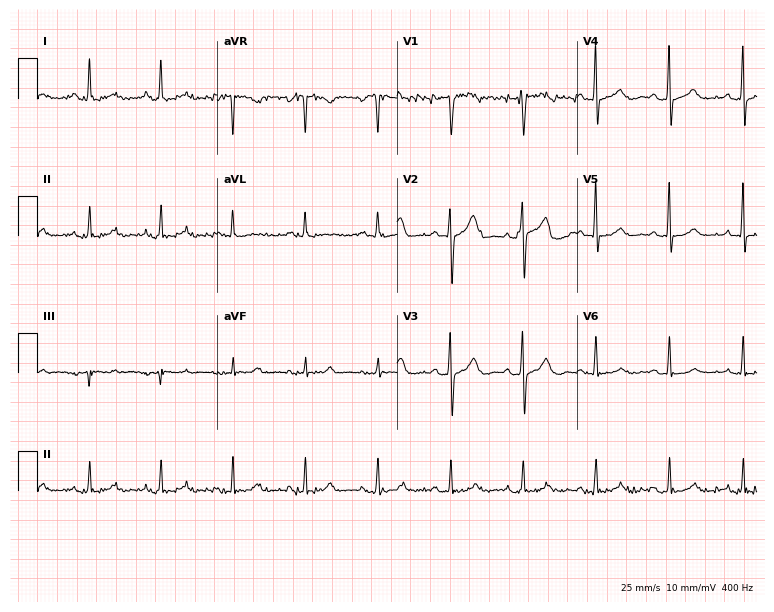
Standard 12-lead ECG recorded from a 72-year-old male patient. None of these six findings is recorded: first-degree AV block, right bundle branch block, left bundle branch block, sinus bradycardia, atrial fibrillation, sinus tachycardia. Only these six findings were labelled.